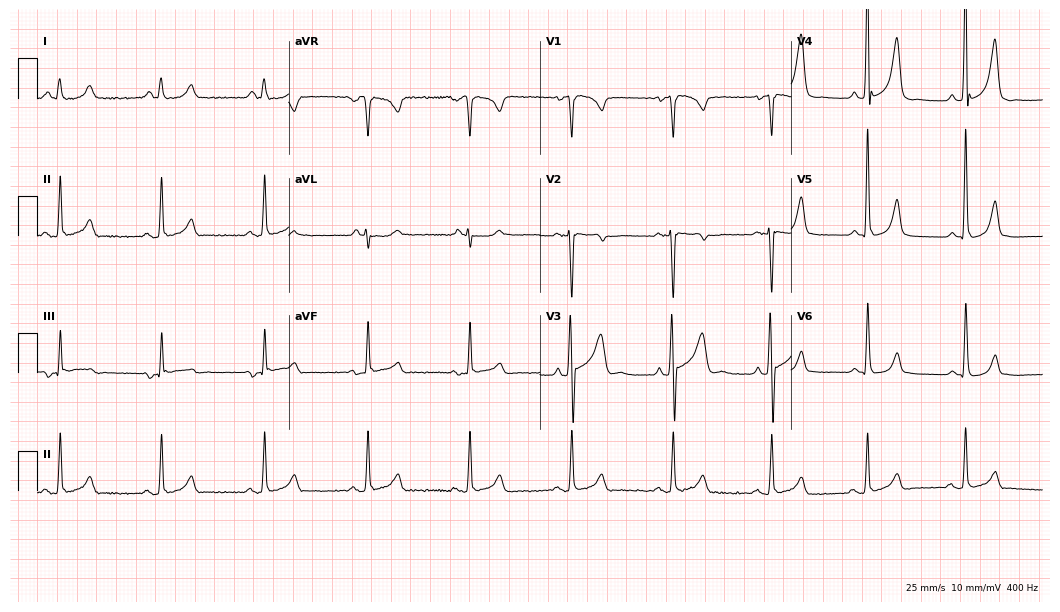
ECG — a 29-year-old man. Screened for six findings — first-degree AV block, right bundle branch block, left bundle branch block, sinus bradycardia, atrial fibrillation, sinus tachycardia — none is recorded. Other findings, if any, are not listed.